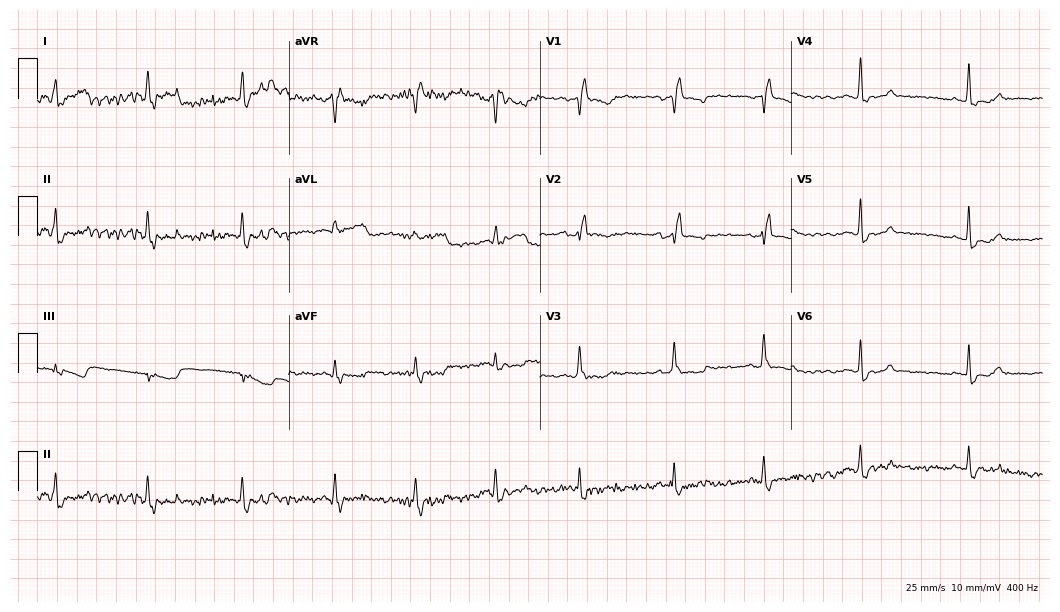
Resting 12-lead electrocardiogram. Patient: a female, 37 years old. None of these six findings is recorded: first-degree AV block, right bundle branch block, left bundle branch block, sinus bradycardia, atrial fibrillation, sinus tachycardia.